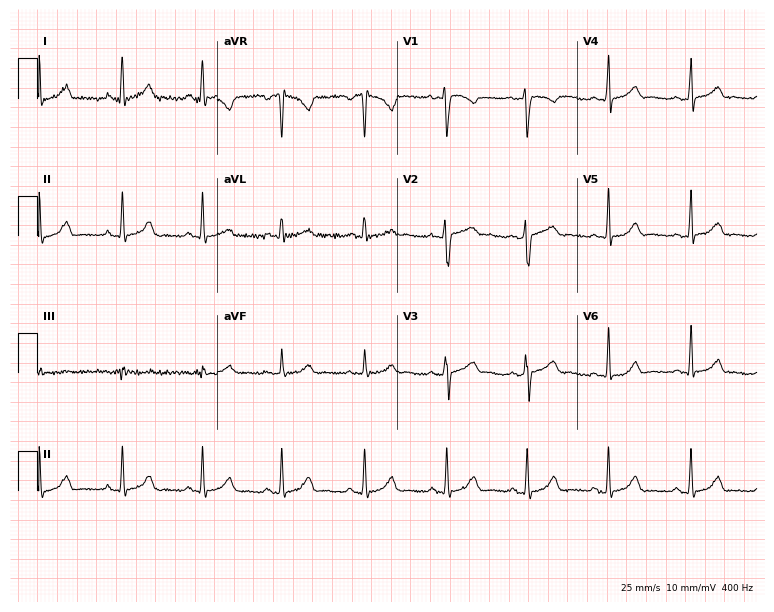
Electrocardiogram, a 29-year-old female. Overall reading on record: normal ECG.